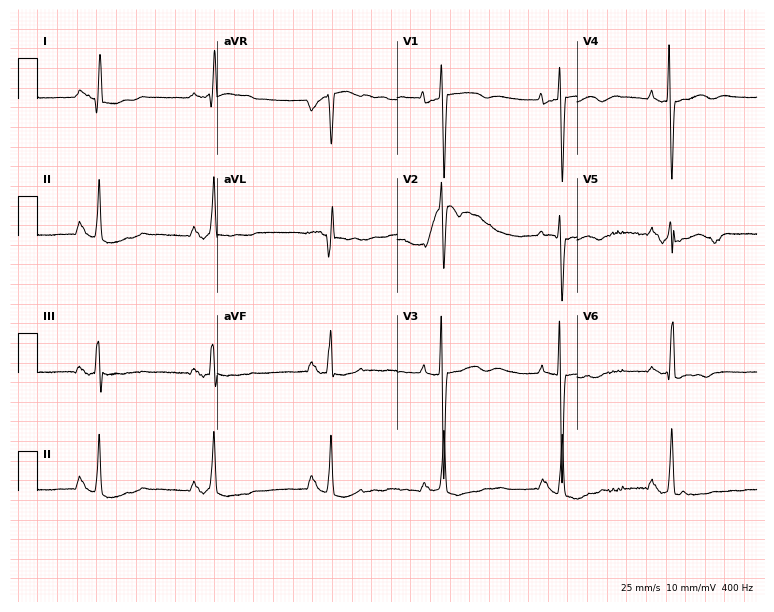
Standard 12-lead ECG recorded from a female patient, 79 years old (7.3-second recording at 400 Hz). None of these six findings is recorded: first-degree AV block, right bundle branch block, left bundle branch block, sinus bradycardia, atrial fibrillation, sinus tachycardia. Only these six findings were labelled.